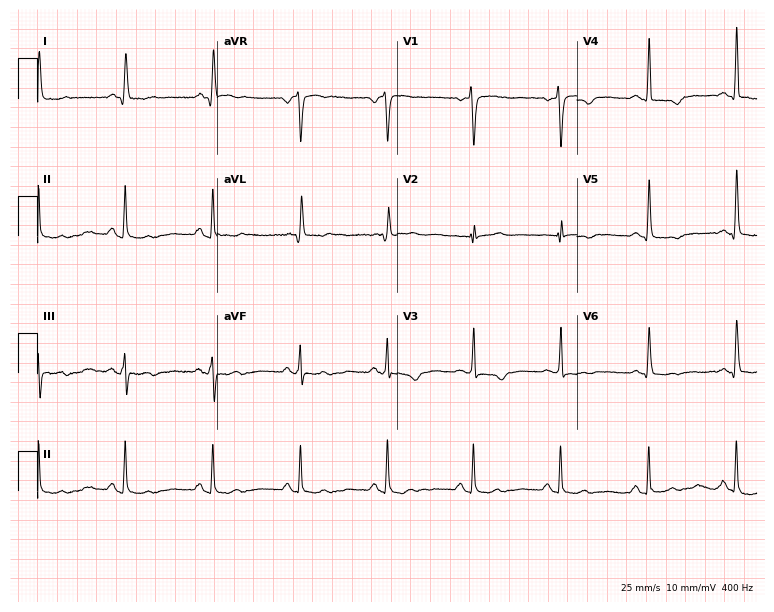
Electrocardiogram, a 68-year-old female. Of the six screened findings (first-degree AV block, right bundle branch block, left bundle branch block, sinus bradycardia, atrial fibrillation, sinus tachycardia), none is recorded. Other findings, if any, are not listed.